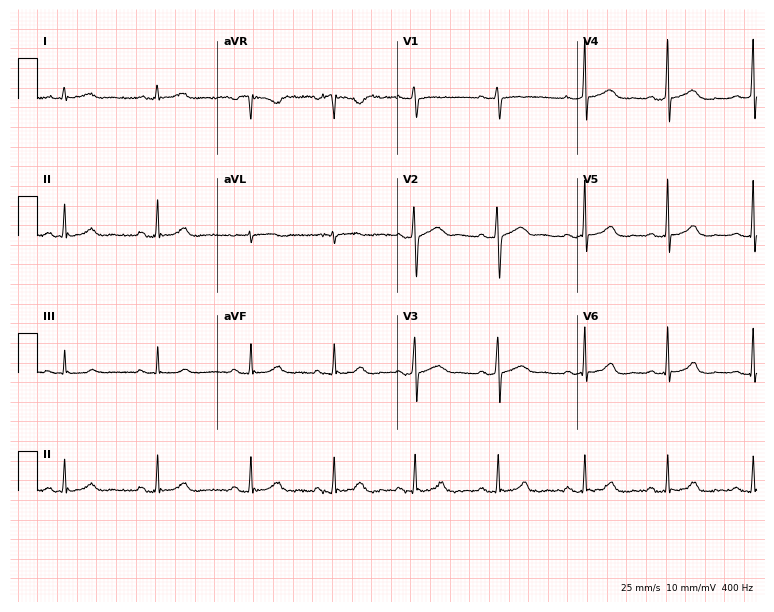
12-lead ECG (7.3-second recording at 400 Hz) from a female patient, 27 years old. Screened for six findings — first-degree AV block, right bundle branch block, left bundle branch block, sinus bradycardia, atrial fibrillation, sinus tachycardia — none is recorded.